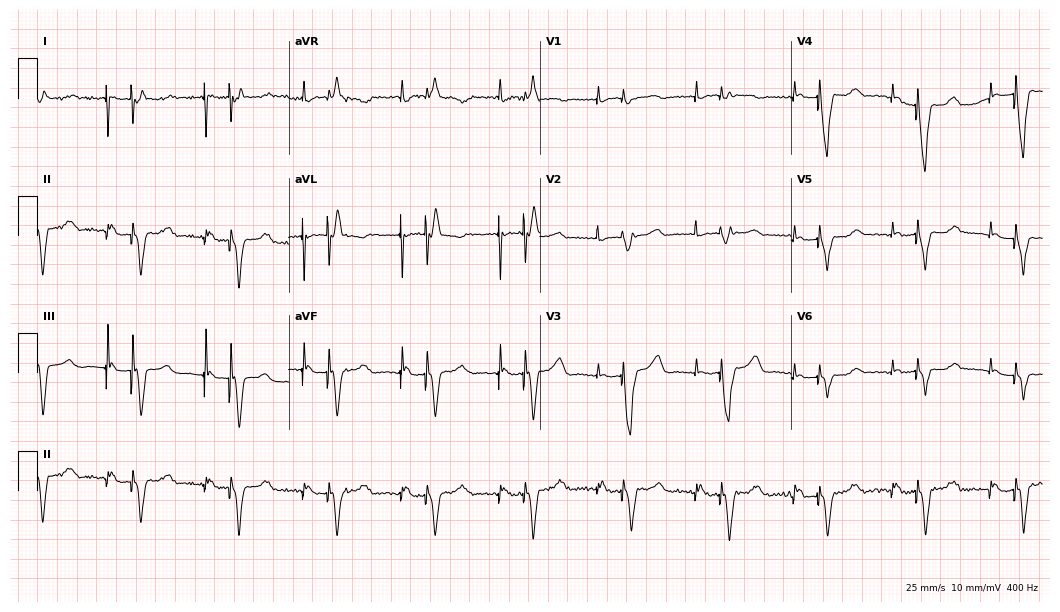
Electrocardiogram (10.2-second recording at 400 Hz), a 70-year-old female patient. Of the six screened findings (first-degree AV block, right bundle branch block, left bundle branch block, sinus bradycardia, atrial fibrillation, sinus tachycardia), none is recorded. Findings outside these six are not listed.